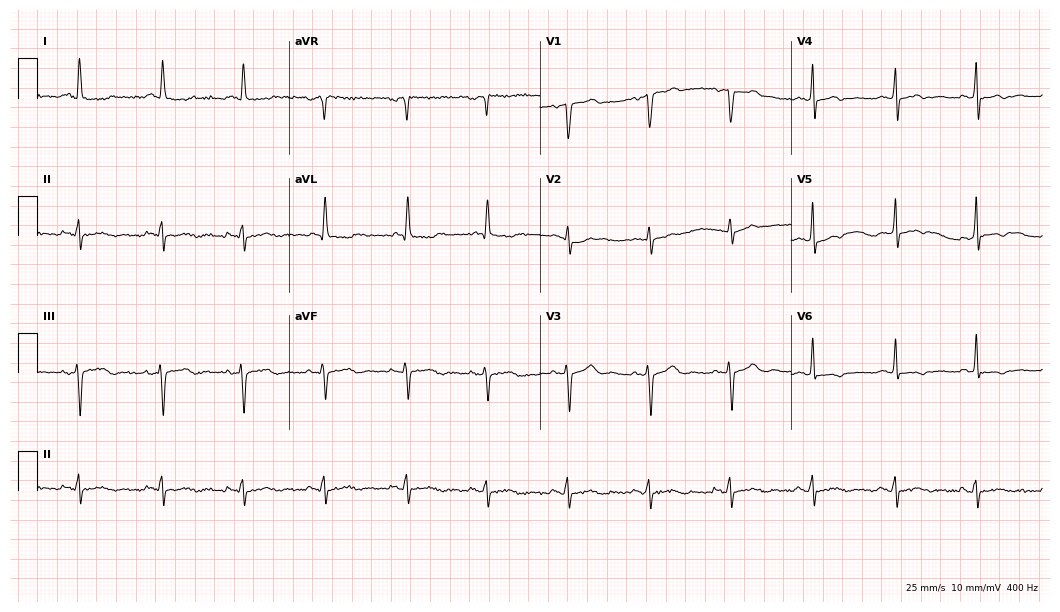
Standard 12-lead ECG recorded from a woman, 65 years old. None of these six findings is recorded: first-degree AV block, right bundle branch block, left bundle branch block, sinus bradycardia, atrial fibrillation, sinus tachycardia.